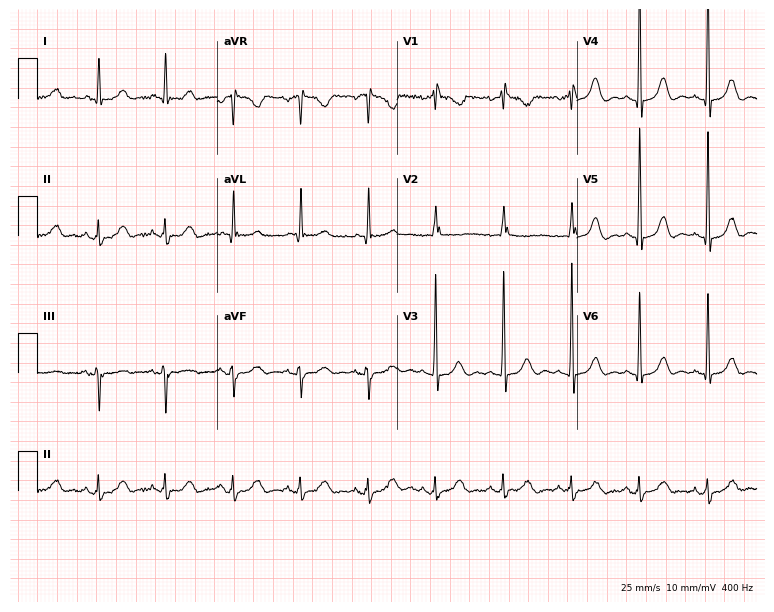
Resting 12-lead electrocardiogram. Patient: an 86-year-old female. None of these six findings is recorded: first-degree AV block, right bundle branch block, left bundle branch block, sinus bradycardia, atrial fibrillation, sinus tachycardia.